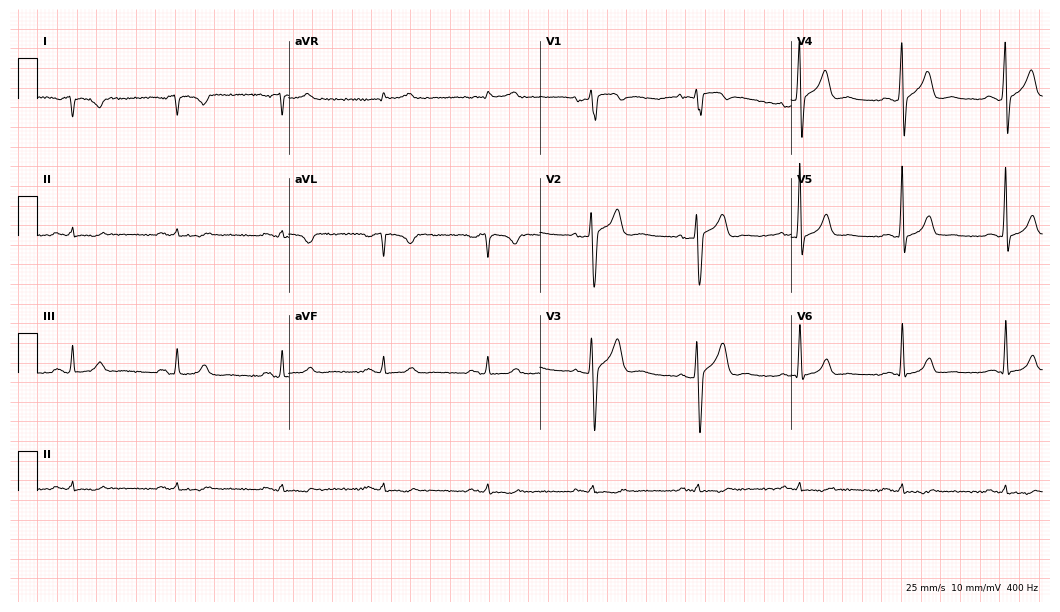
12-lead ECG (10.2-second recording at 400 Hz) from a 46-year-old man. Screened for six findings — first-degree AV block, right bundle branch block (RBBB), left bundle branch block (LBBB), sinus bradycardia, atrial fibrillation (AF), sinus tachycardia — none is recorded.